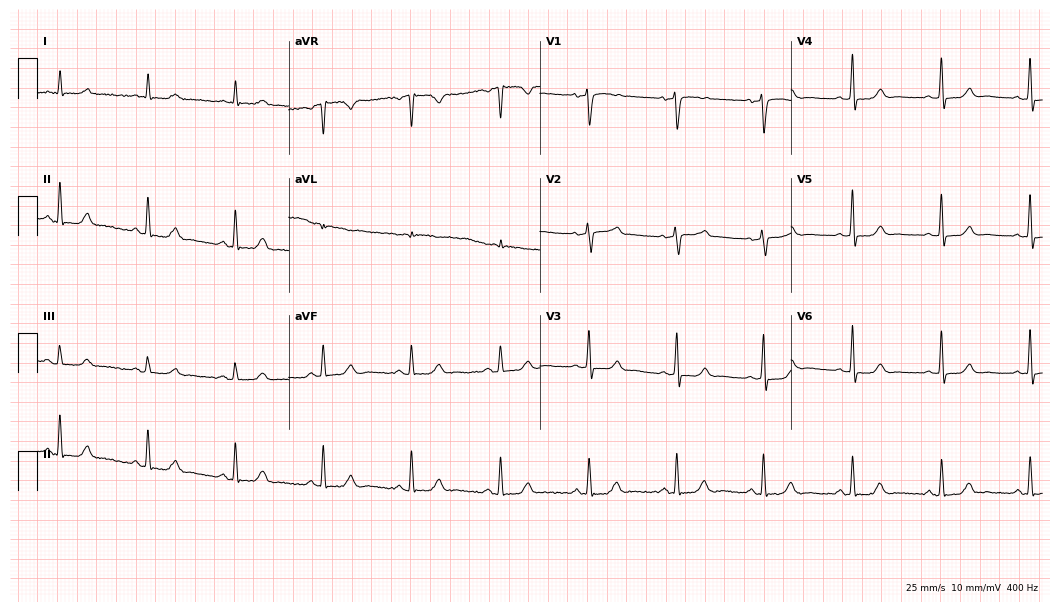
ECG — a female patient, 61 years old. Screened for six findings — first-degree AV block, right bundle branch block, left bundle branch block, sinus bradycardia, atrial fibrillation, sinus tachycardia — none is recorded. Findings outside these six are not listed.